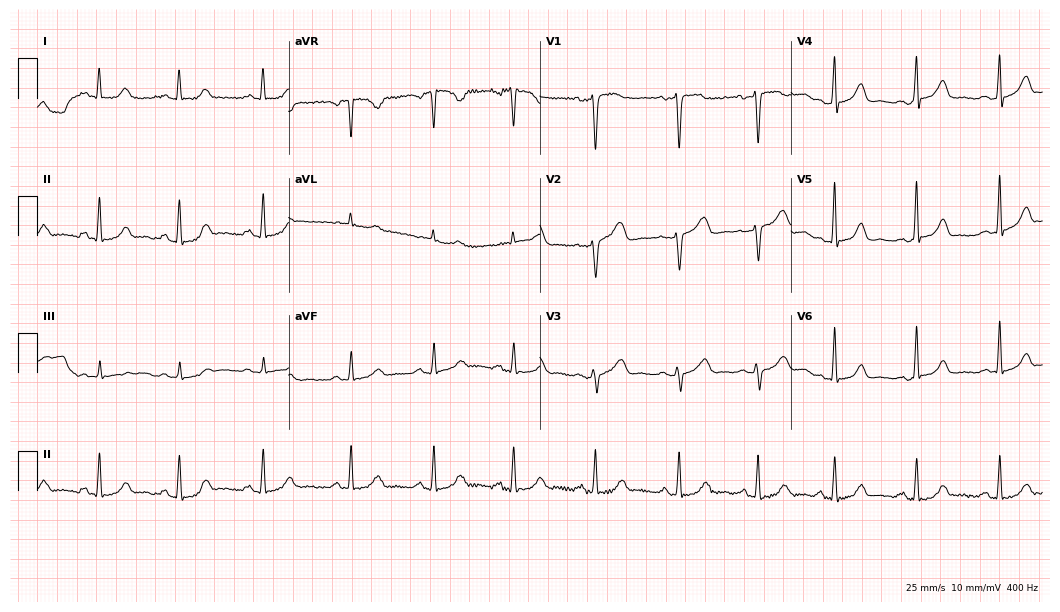
Electrocardiogram (10.2-second recording at 400 Hz), a woman, 44 years old. Overall reading on record: normal ECG.